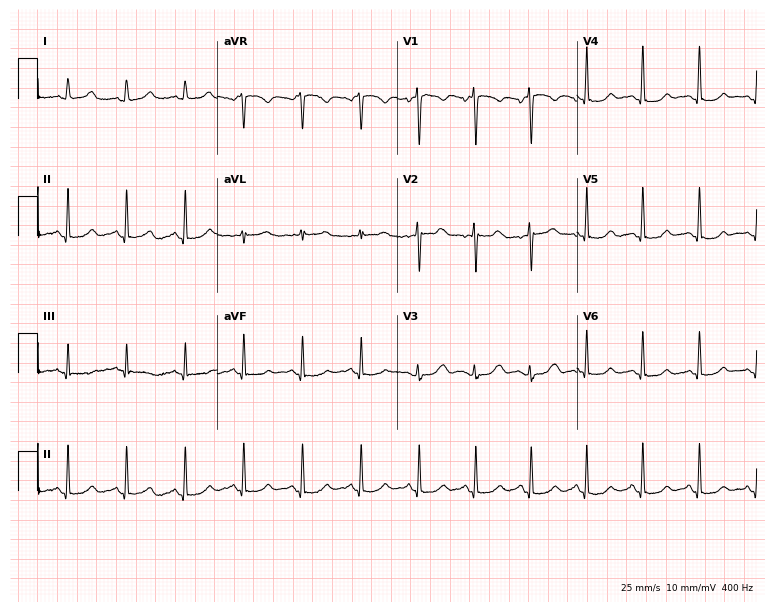
ECG (7.3-second recording at 400 Hz) — a 27-year-old woman. Findings include sinus tachycardia (a sinus rate of 100 beats per minute or more).